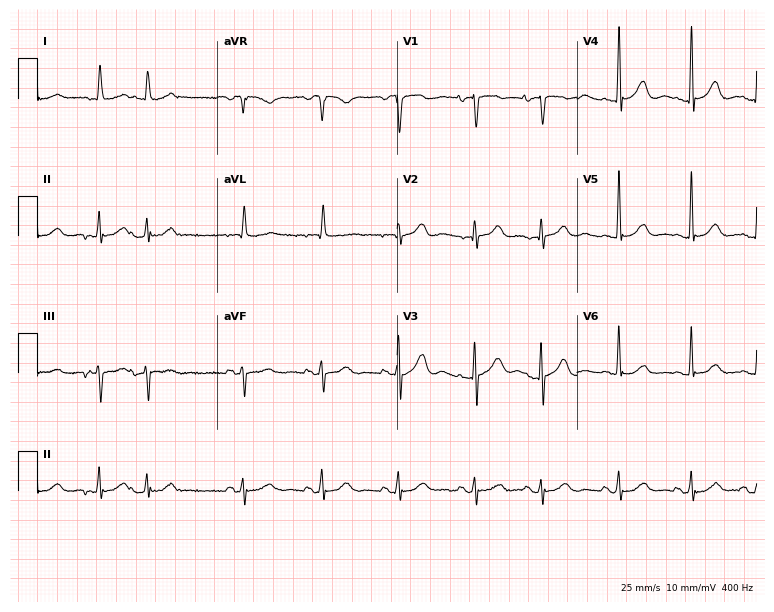
Standard 12-lead ECG recorded from a female, 89 years old (7.3-second recording at 400 Hz). None of these six findings is recorded: first-degree AV block, right bundle branch block (RBBB), left bundle branch block (LBBB), sinus bradycardia, atrial fibrillation (AF), sinus tachycardia.